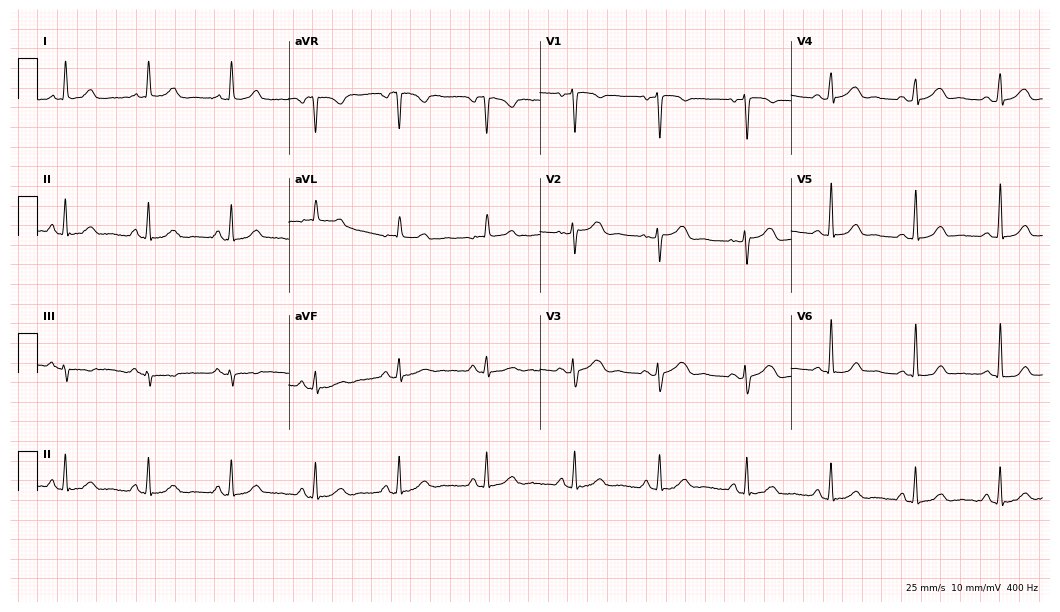
ECG — a female, 48 years old. Labelled as a normal ECG.